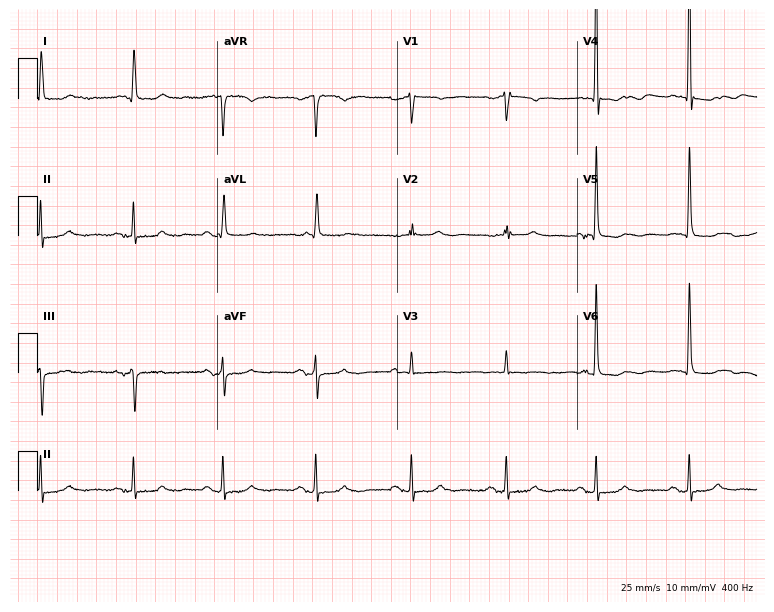
Electrocardiogram (7.3-second recording at 400 Hz), a female, 77 years old. Of the six screened findings (first-degree AV block, right bundle branch block, left bundle branch block, sinus bradycardia, atrial fibrillation, sinus tachycardia), none is recorded.